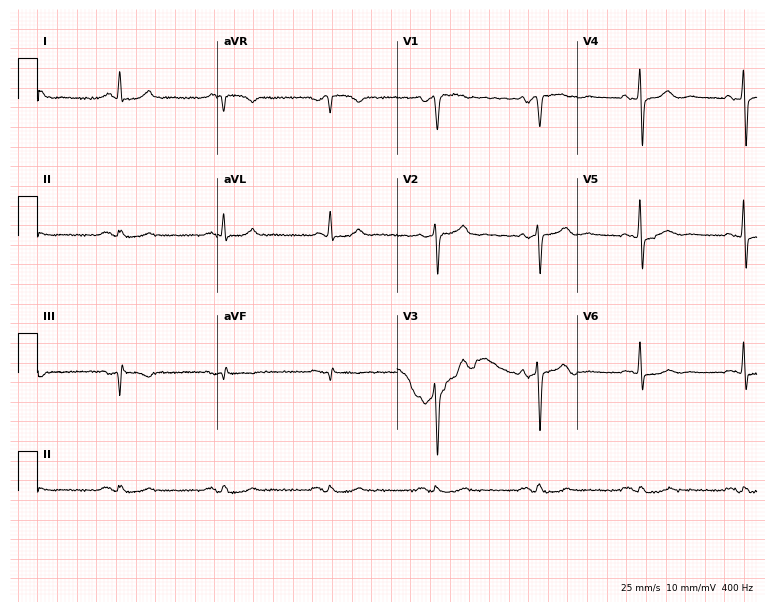
12-lead ECG (7.3-second recording at 400 Hz) from a 66-year-old man. Labelled as a normal ECG.